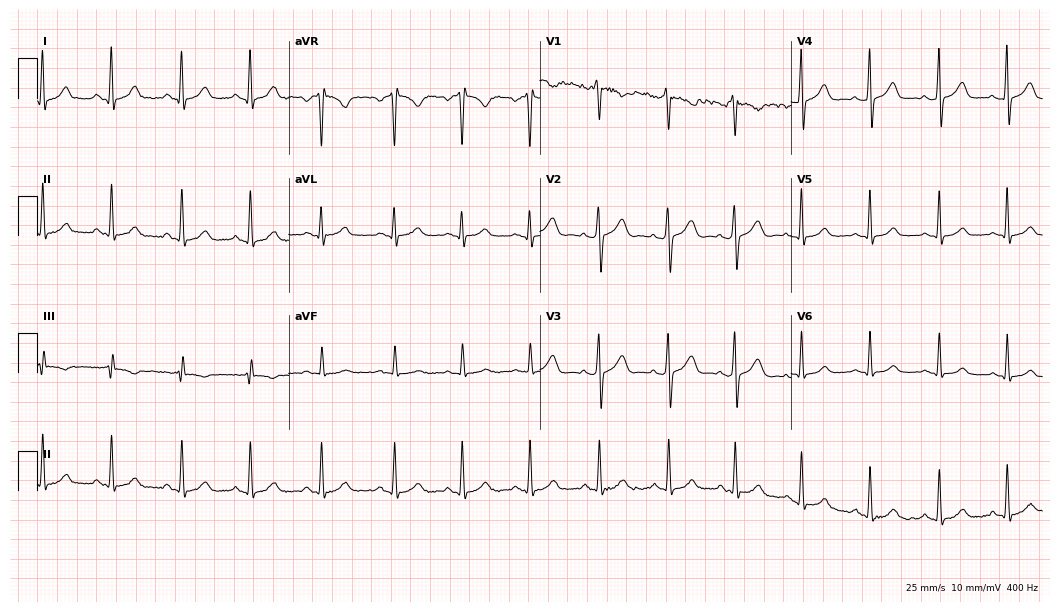
12-lead ECG (10.2-second recording at 400 Hz) from a female patient, 23 years old. Labelled as a normal ECG.